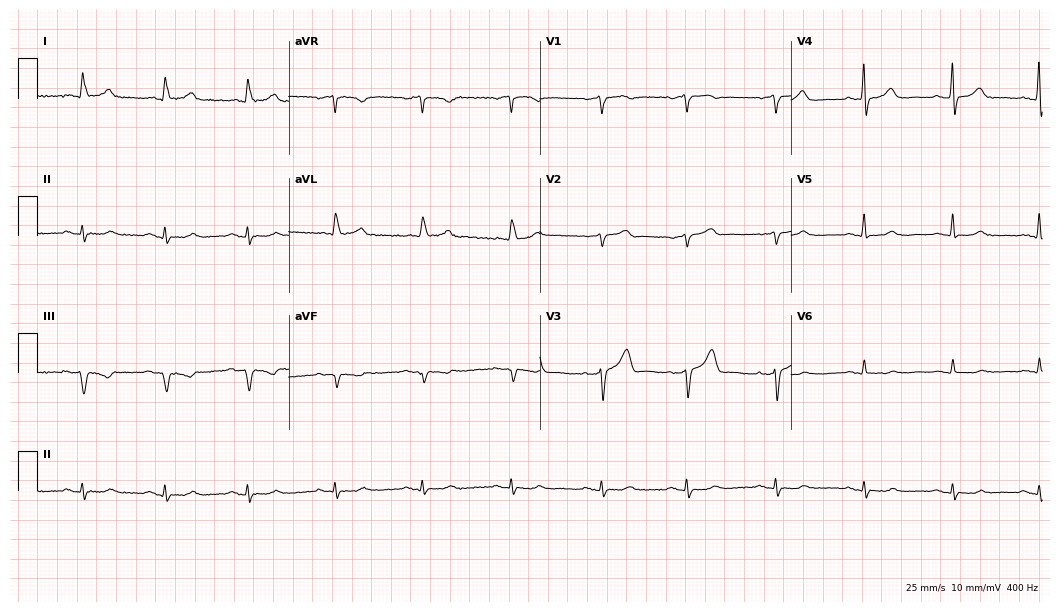
12-lead ECG from a male, 77 years old. Screened for six findings — first-degree AV block, right bundle branch block, left bundle branch block, sinus bradycardia, atrial fibrillation, sinus tachycardia — none is recorded.